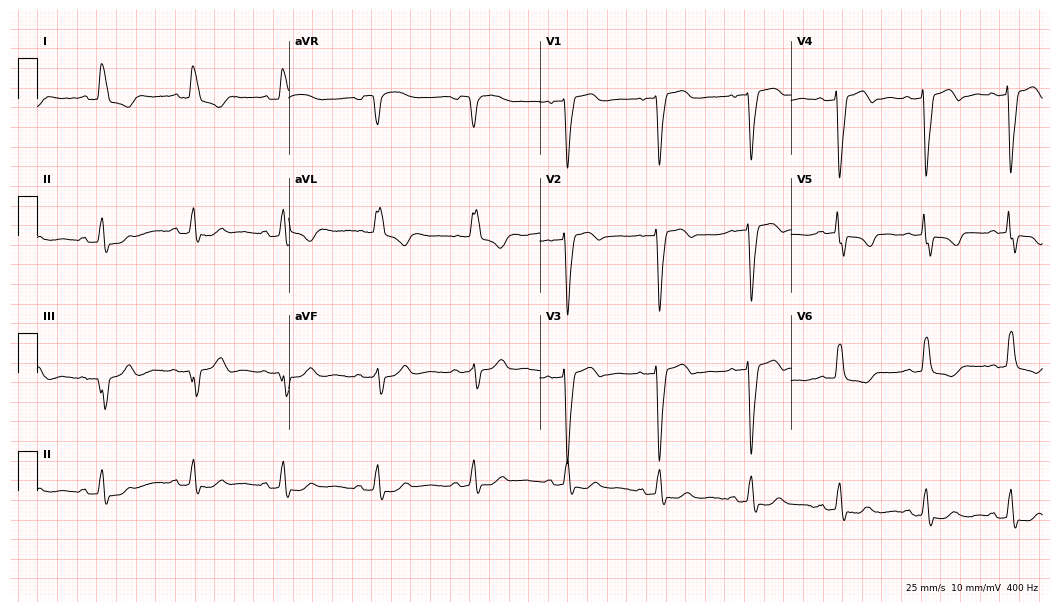
Standard 12-lead ECG recorded from a 78-year-old woman (10.2-second recording at 400 Hz). The tracing shows left bundle branch block.